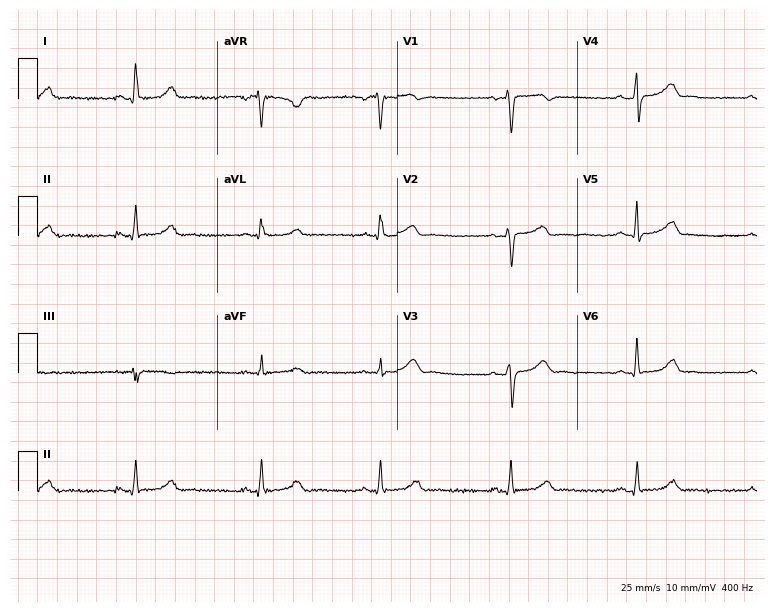
ECG (7.3-second recording at 400 Hz) — a woman, 48 years old. Labelled as a normal ECG.